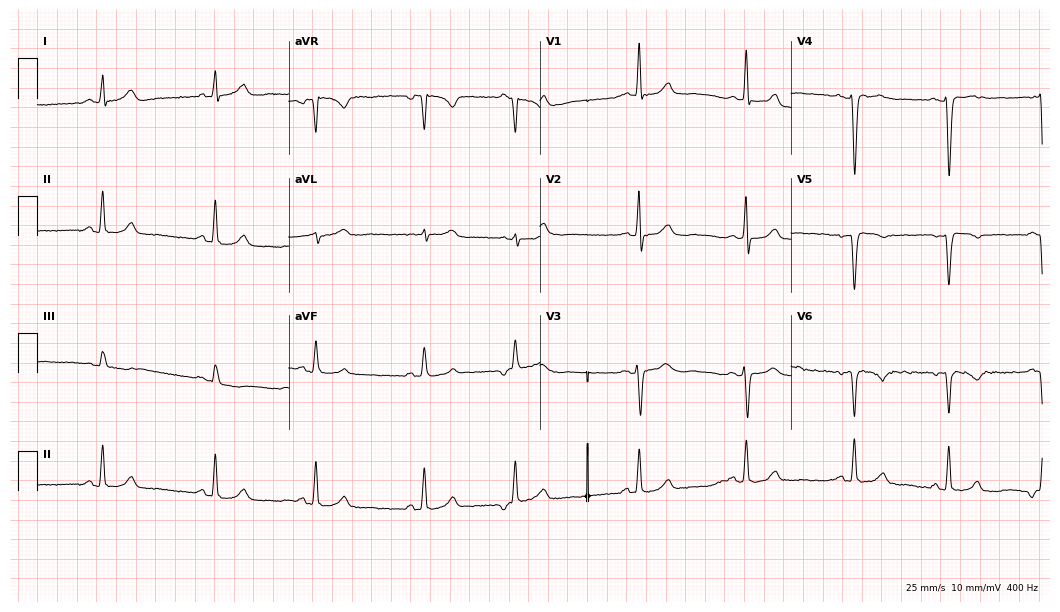
Electrocardiogram (10.2-second recording at 400 Hz), a 49-year-old female. Of the six screened findings (first-degree AV block, right bundle branch block, left bundle branch block, sinus bradycardia, atrial fibrillation, sinus tachycardia), none is recorded.